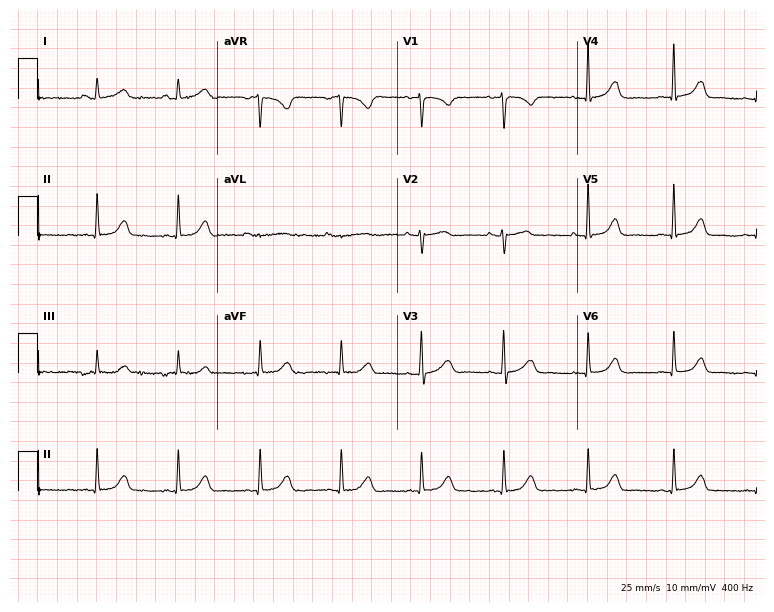
ECG — a 42-year-old female patient. Labelled as a normal ECG.